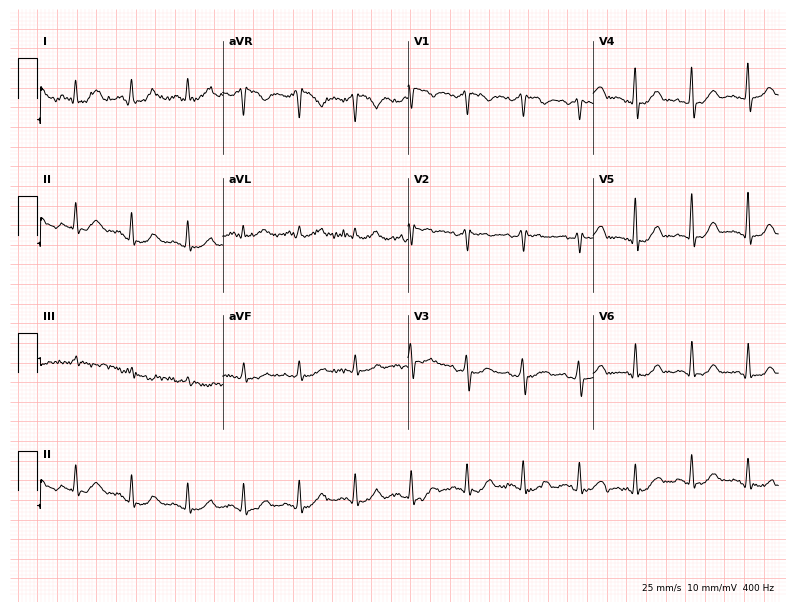
Electrocardiogram (7.6-second recording at 400 Hz), a female, 44 years old. Of the six screened findings (first-degree AV block, right bundle branch block, left bundle branch block, sinus bradycardia, atrial fibrillation, sinus tachycardia), none is recorded. Only these six findings were labelled.